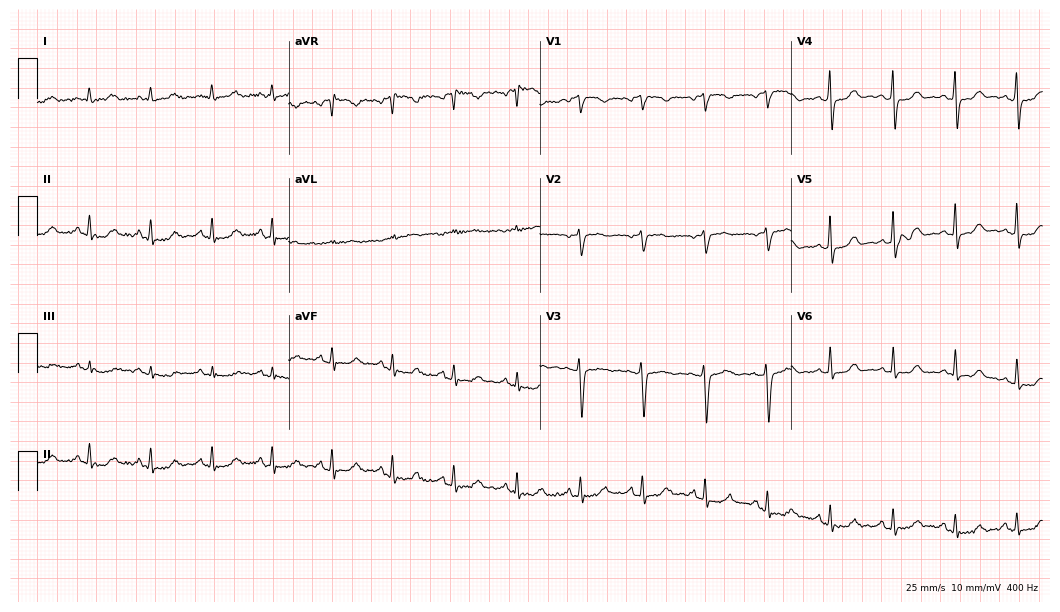
ECG — a 53-year-old woman. Labelled as a normal ECG.